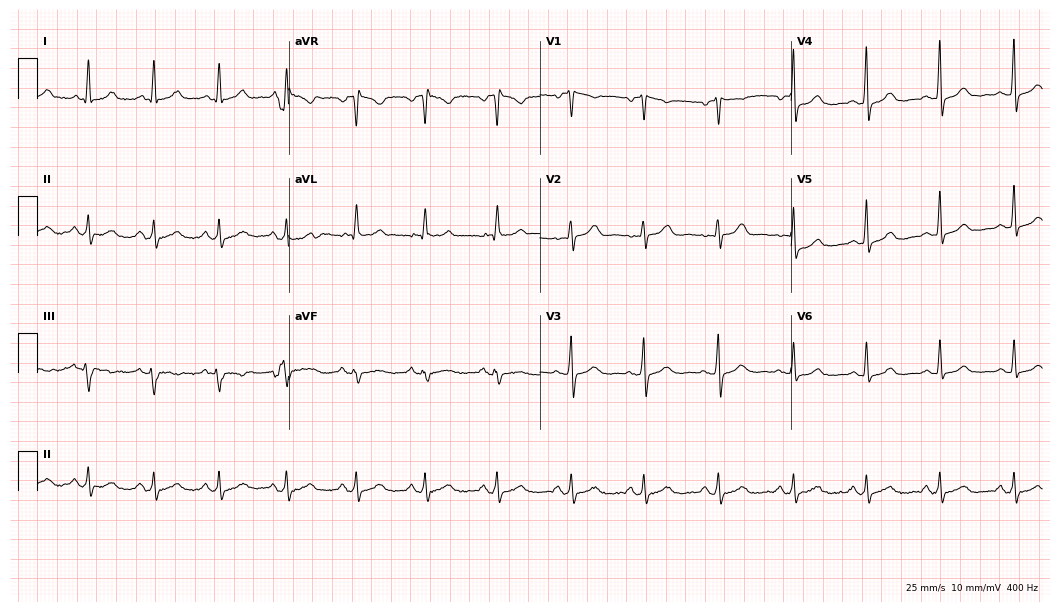
Resting 12-lead electrocardiogram. Patient: a 44-year-old female. Read as a normal ECG.